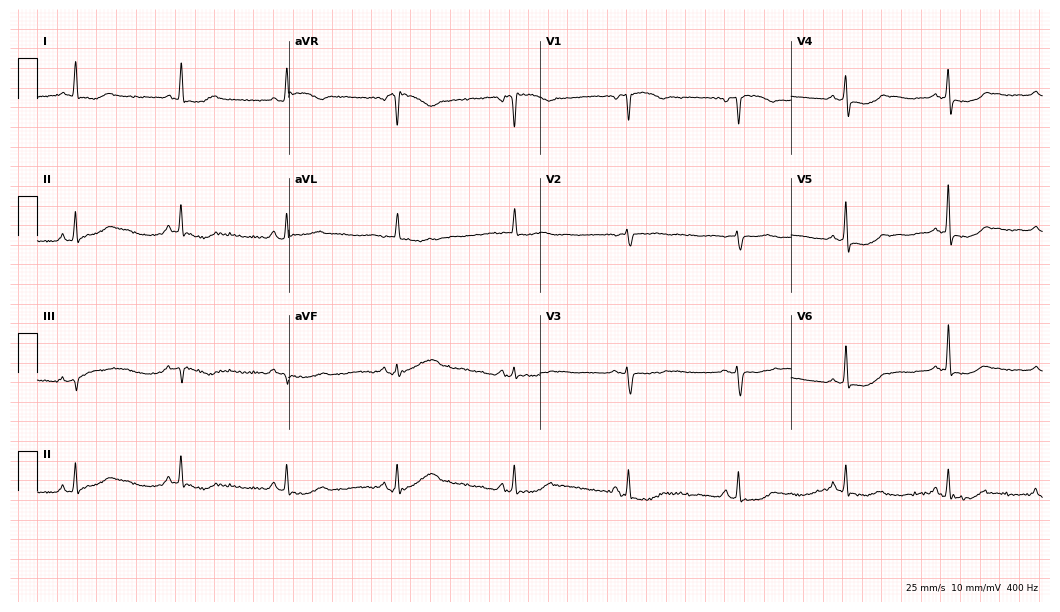
12-lead ECG from a woman, 73 years old (10.2-second recording at 400 Hz). No first-degree AV block, right bundle branch block (RBBB), left bundle branch block (LBBB), sinus bradycardia, atrial fibrillation (AF) or sinus tachycardia recorded for this tracing.